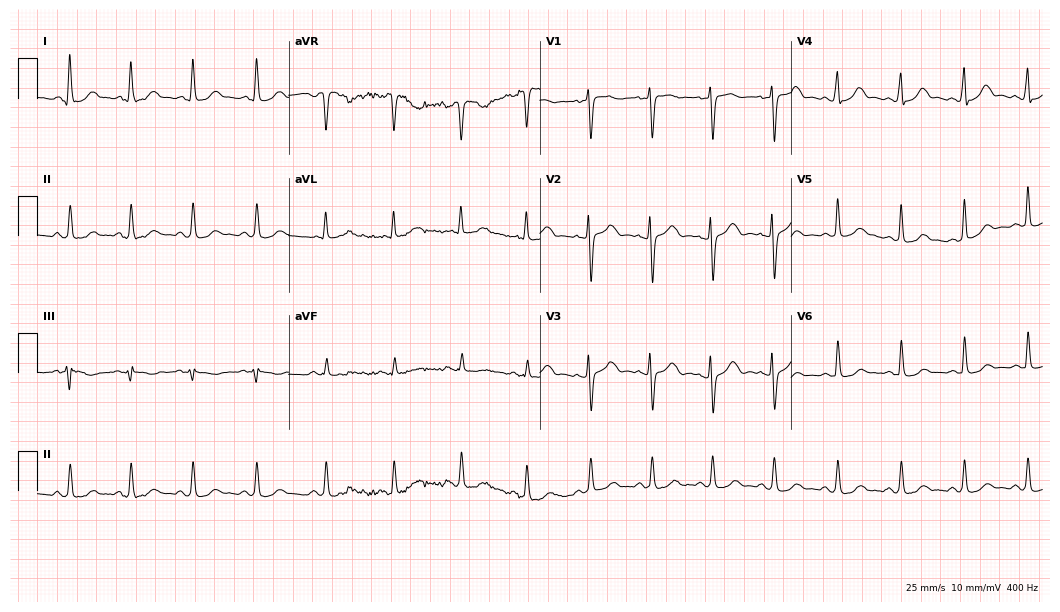
Electrocardiogram (10.2-second recording at 400 Hz), a 37-year-old female. Of the six screened findings (first-degree AV block, right bundle branch block, left bundle branch block, sinus bradycardia, atrial fibrillation, sinus tachycardia), none is recorded.